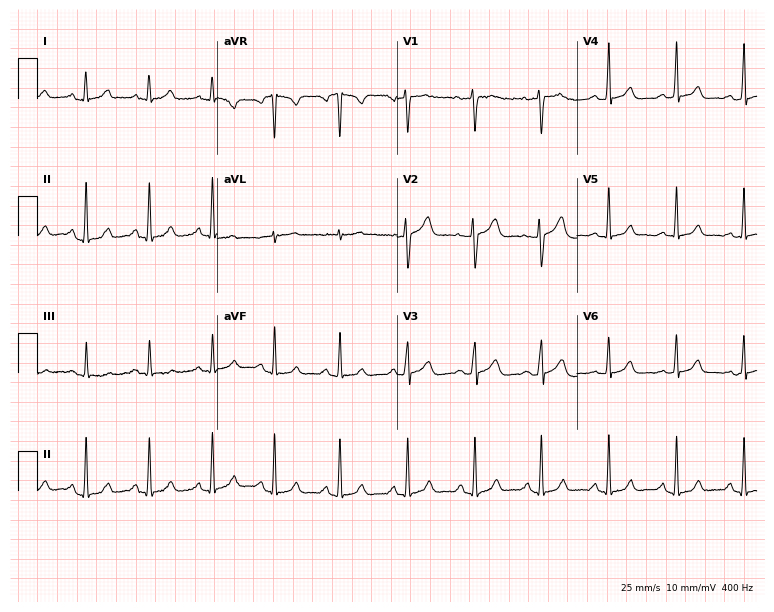
12-lead ECG (7.3-second recording at 400 Hz) from a female, 28 years old. Labelled as a normal ECG.